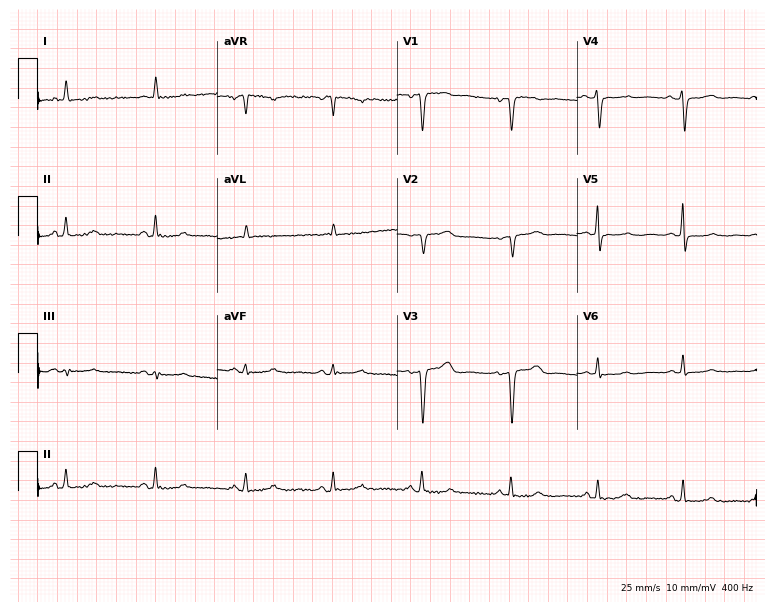
12-lead ECG from a 60-year-old female patient. No first-degree AV block, right bundle branch block, left bundle branch block, sinus bradycardia, atrial fibrillation or sinus tachycardia recorded for this tracing. Other findings, if any, are not listed.